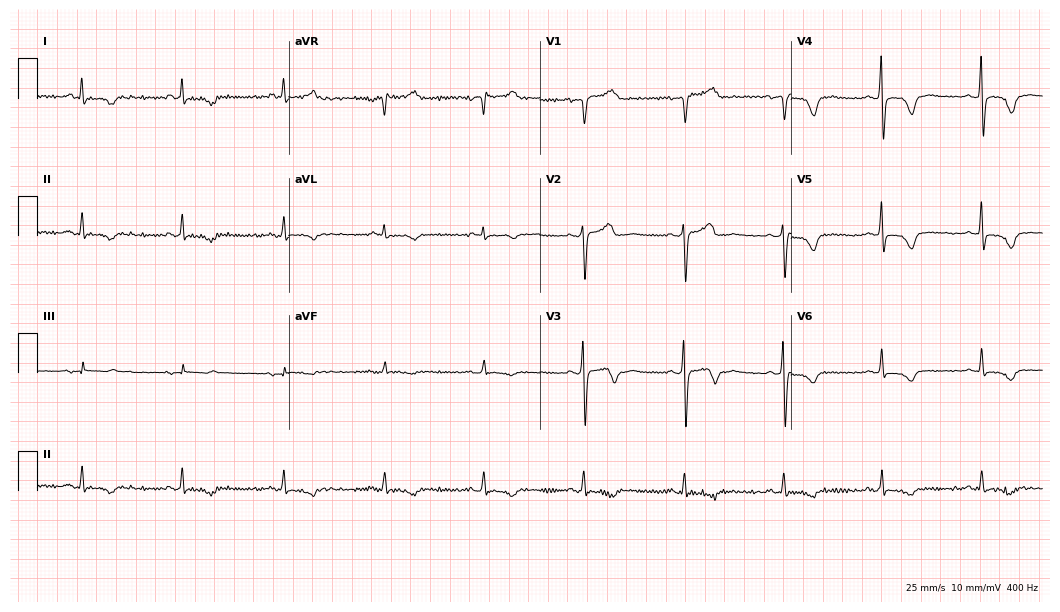
ECG (10.2-second recording at 400 Hz) — a female patient, 50 years old. Screened for six findings — first-degree AV block, right bundle branch block, left bundle branch block, sinus bradycardia, atrial fibrillation, sinus tachycardia — none is recorded.